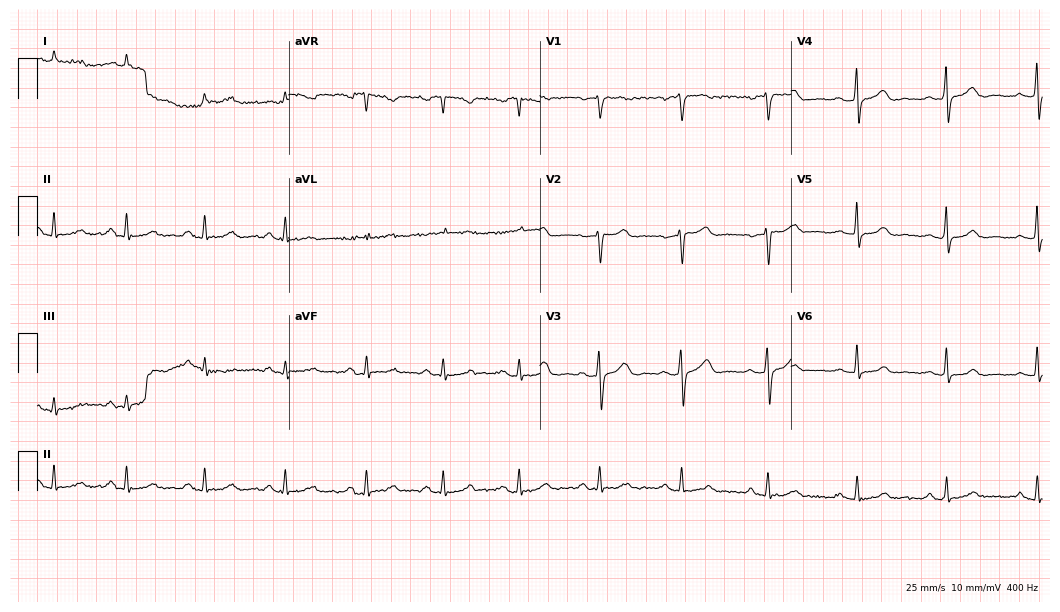
ECG (10.2-second recording at 400 Hz) — a 50-year-old female patient. Screened for six findings — first-degree AV block, right bundle branch block (RBBB), left bundle branch block (LBBB), sinus bradycardia, atrial fibrillation (AF), sinus tachycardia — none is recorded. Other findings, if any, are not listed.